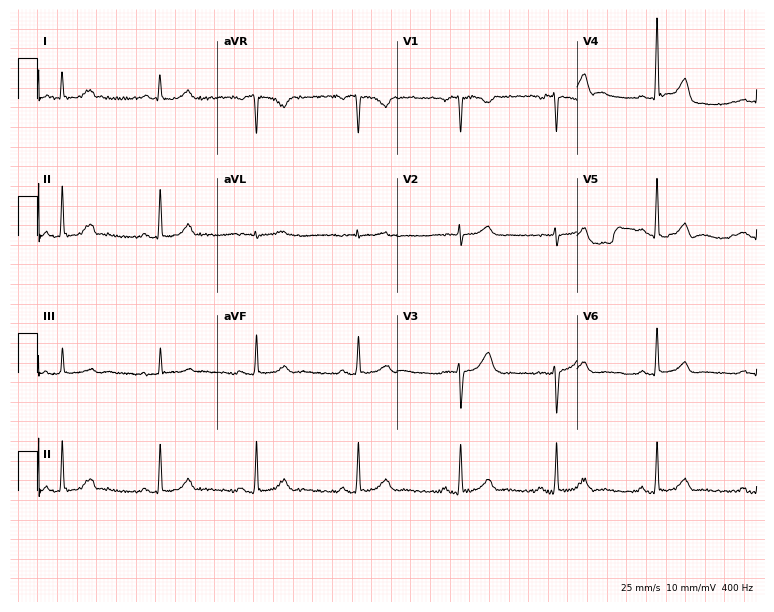
12-lead ECG from a 43-year-old female. Labelled as a normal ECG.